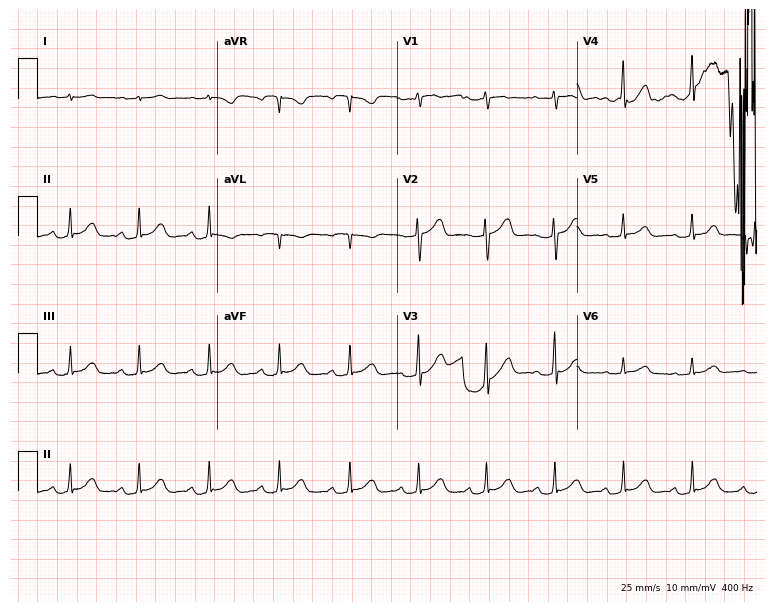
Electrocardiogram (7.3-second recording at 400 Hz), a 57-year-old female patient. Overall reading on record: normal ECG.